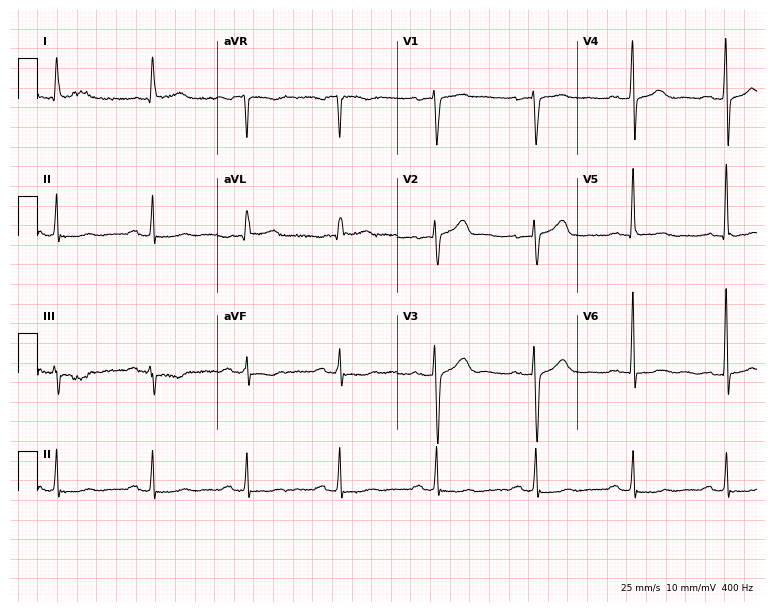
12-lead ECG (7.3-second recording at 400 Hz) from a male, 85 years old. Screened for six findings — first-degree AV block, right bundle branch block, left bundle branch block, sinus bradycardia, atrial fibrillation, sinus tachycardia — none is recorded.